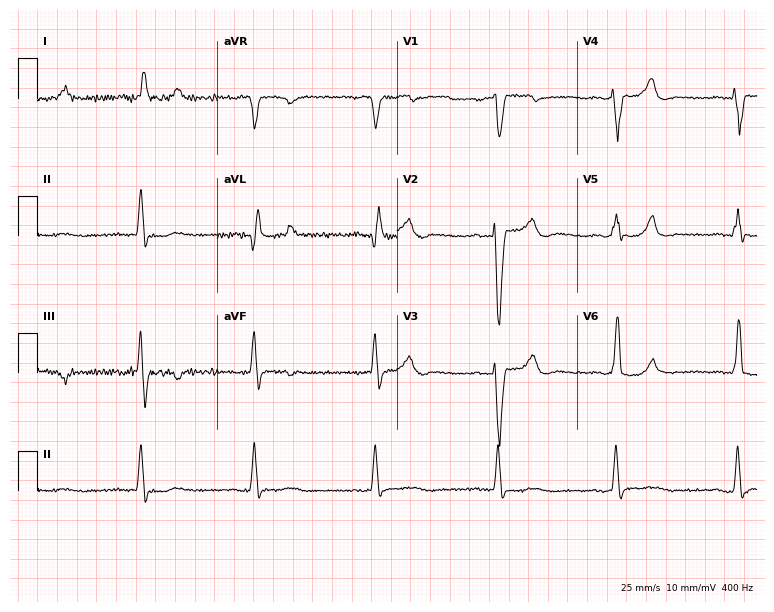
12-lead ECG (7.3-second recording at 400 Hz) from a 70-year-old female patient. Screened for six findings — first-degree AV block, right bundle branch block (RBBB), left bundle branch block (LBBB), sinus bradycardia, atrial fibrillation (AF), sinus tachycardia — none is recorded. Only these six findings were labelled.